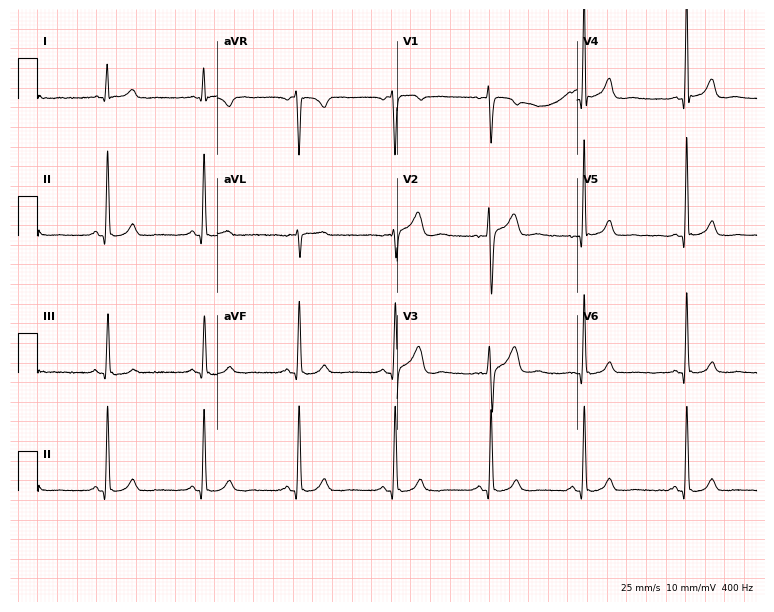
Resting 12-lead electrocardiogram. Patient: a 36-year-old male. None of these six findings is recorded: first-degree AV block, right bundle branch block, left bundle branch block, sinus bradycardia, atrial fibrillation, sinus tachycardia. Findings outside these six are not listed.